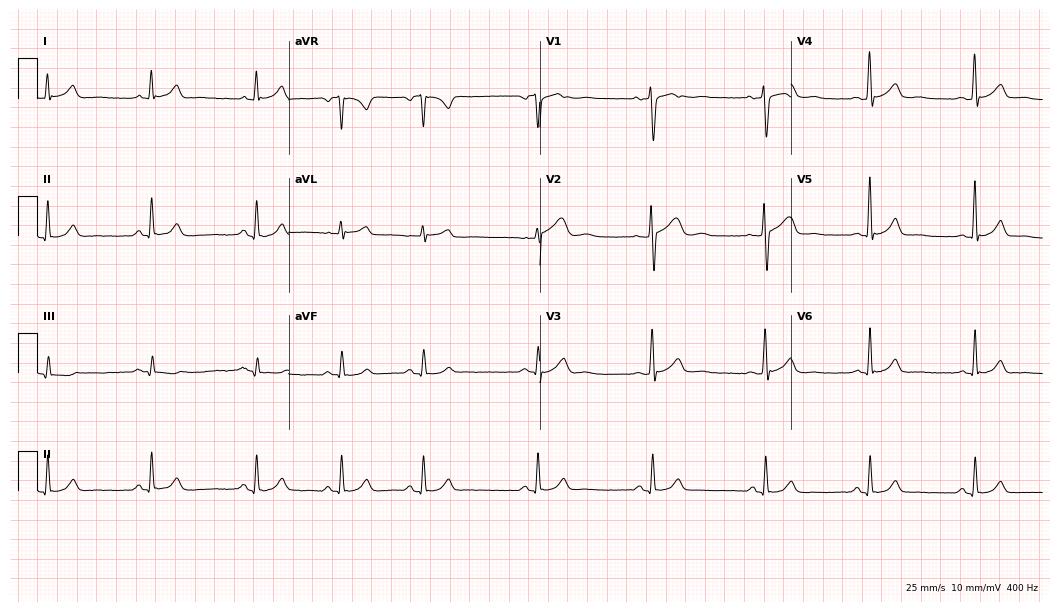
Electrocardiogram (10.2-second recording at 400 Hz), a 26-year-old male. Of the six screened findings (first-degree AV block, right bundle branch block, left bundle branch block, sinus bradycardia, atrial fibrillation, sinus tachycardia), none is recorded.